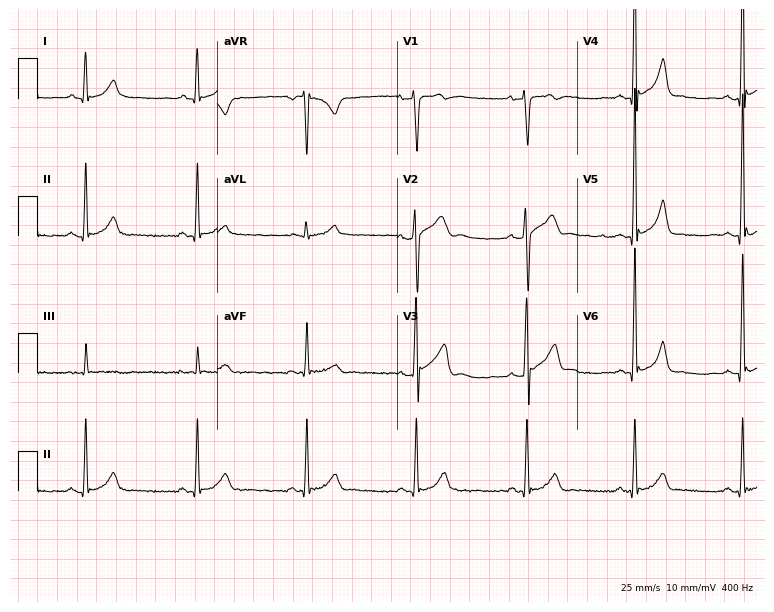
Resting 12-lead electrocardiogram. Patient: a 38-year-old male. Read as a normal ECG.